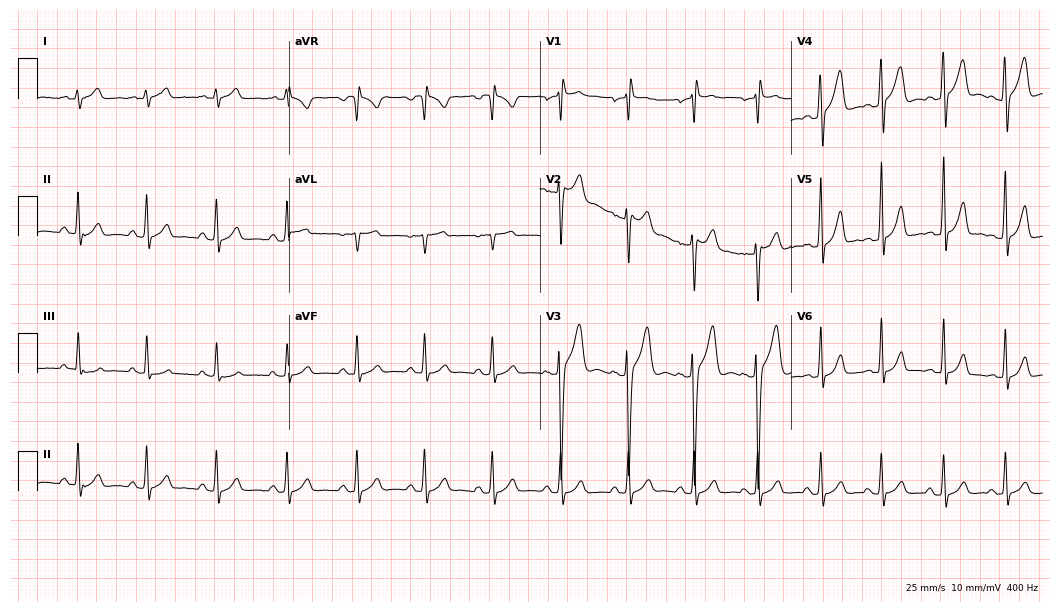
12-lead ECG from a 22-year-old male (10.2-second recording at 400 Hz). No first-degree AV block, right bundle branch block (RBBB), left bundle branch block (LBBB), sinus bradycardia, atrial fibrillation (AF) or sinus tachycardia recorded for this tracing. Only these six findings were labelled.